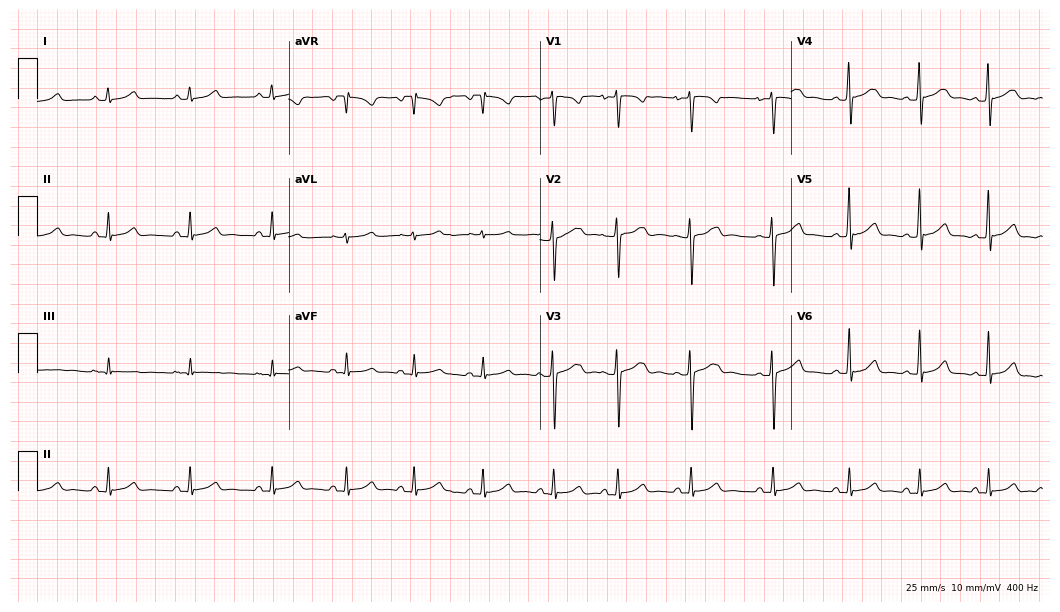
Standard 12-lead ECG recorded from a male, 22 years old. Read as a normal ECG.